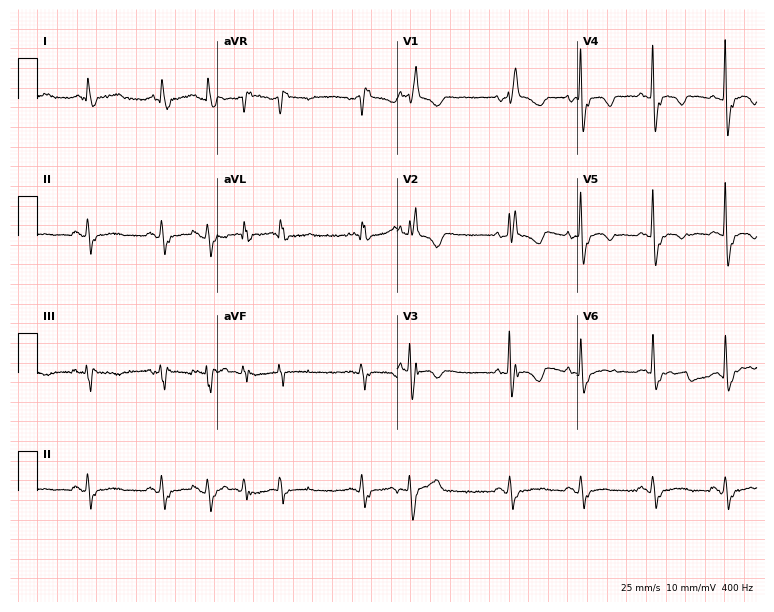
12-lead ECG (7.3-second recording at 400 Hz) from a 77-year-old female. Screened for six findings — first-degree AV block, right bundle branch block, left bundle branch block, sinus bradycardia, atrial fibrillation, sinus tachycardia — none is recorded.